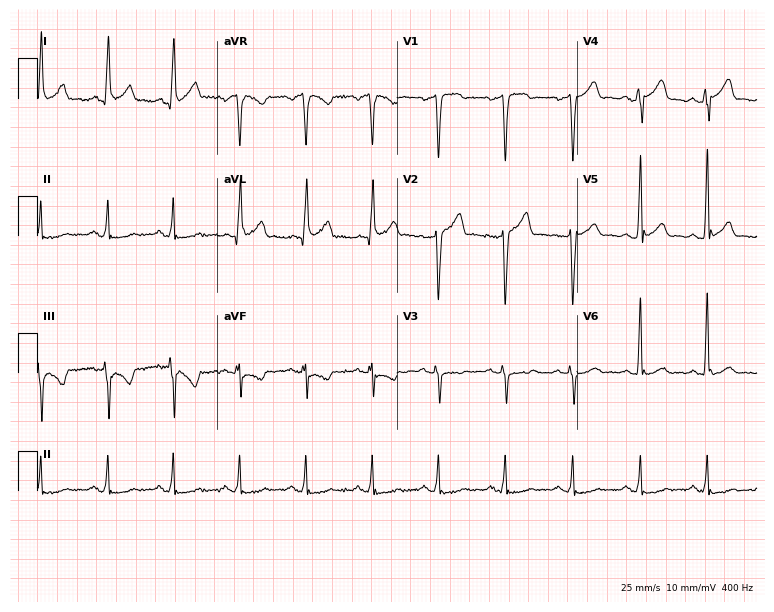
12-lead ECG from a 62-year-old male patient. Recorded interpretation: within normal limits.